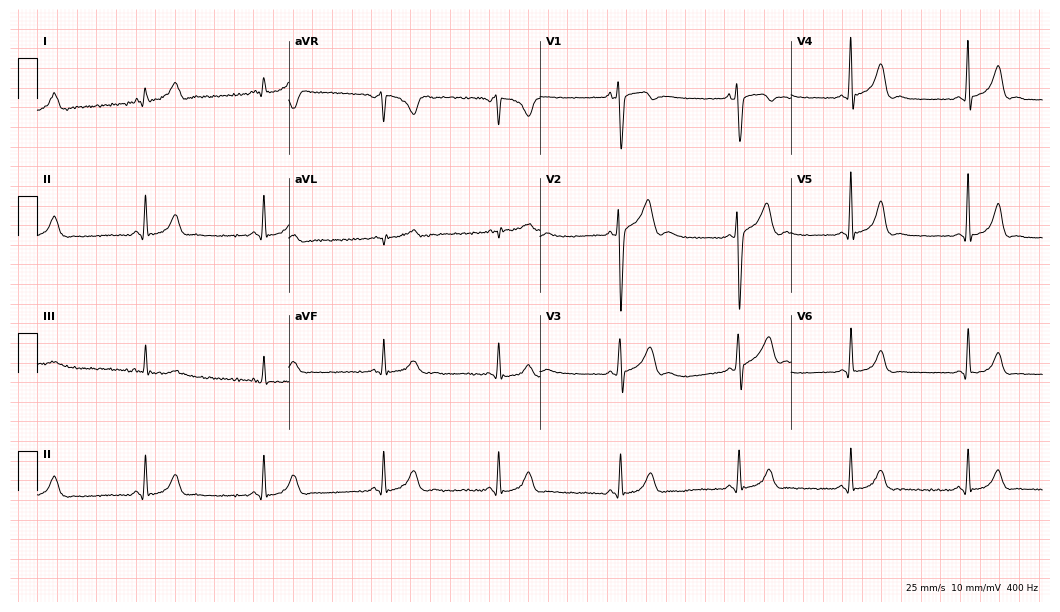
Standard 12-lead ECG recorded from a 20-year-old male patient (10.2-second recording at 400 Hz). The tracing shows sinus bradycardia (a sinus rate of 50 beats per minute or less).